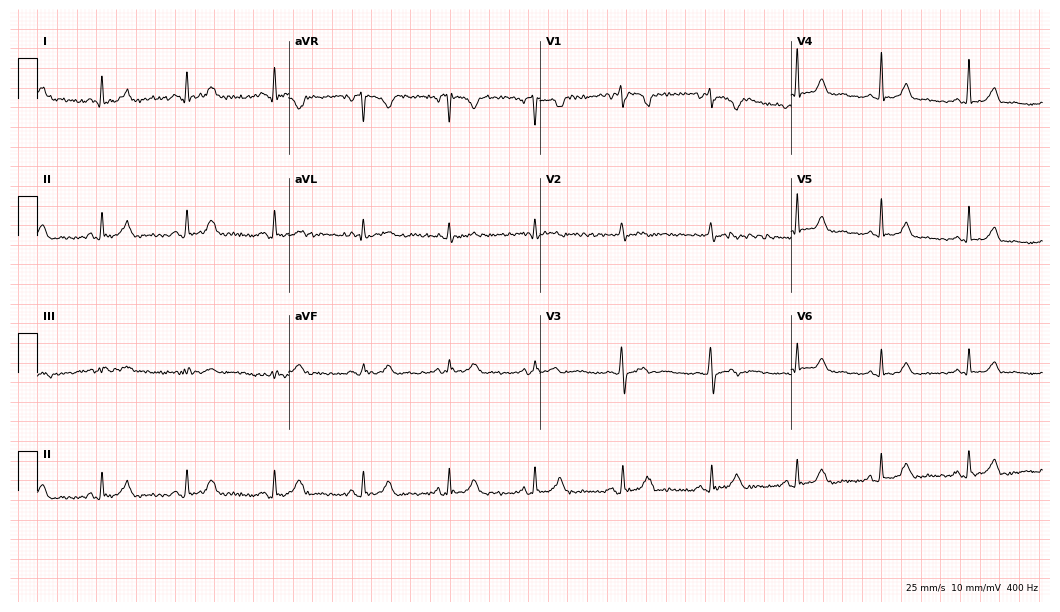
Resting 12-lead electrocardiogram (10.2-second recording at 400 Hz). Patient: a 45-year-old female. Read as a normal ECG.